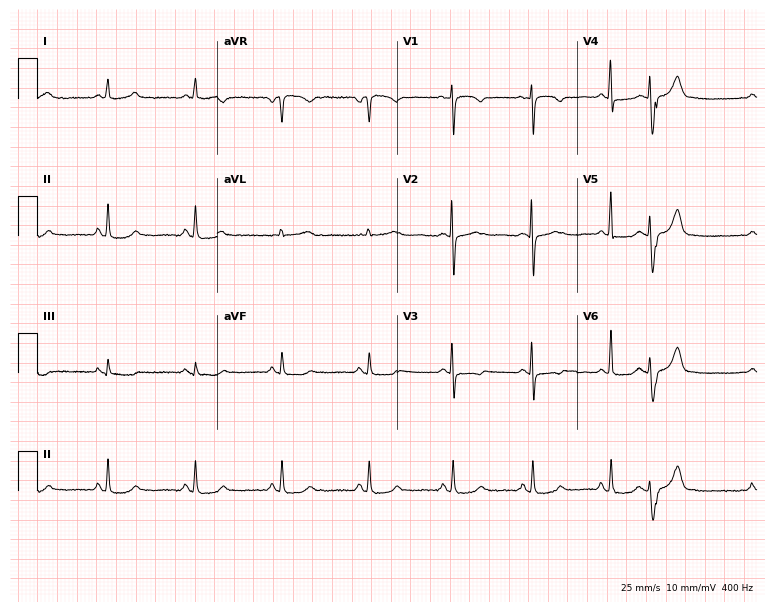
Electrocardiogram, a 54-year-old woman. Of the six screened findings (first-degree AV block, right bundle branch block (RBBB), left bundle branch block (LBBB), sinus bradycardia, atrial fibrillation (AF), sinus tachycardia), none is recorded.